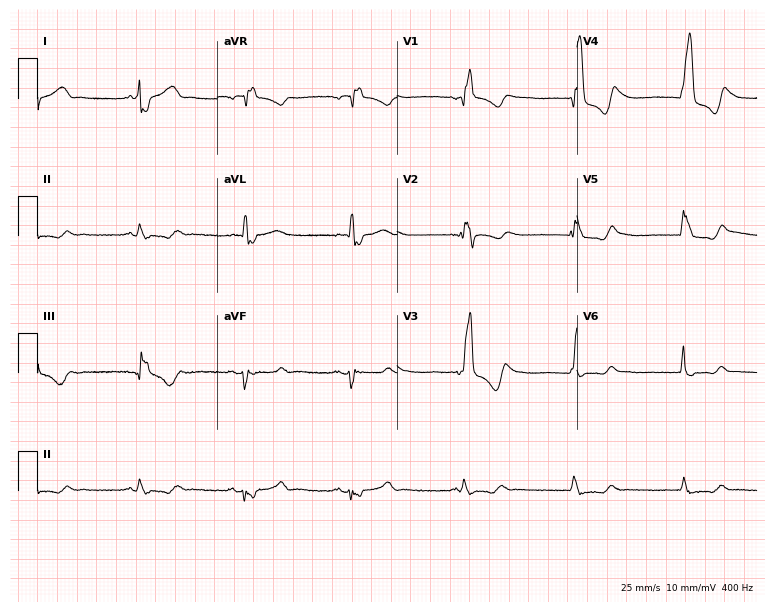
12-lead ECG from a woman, 32 years old (7.3-second recording at 400 Hz). Shows right bundle branch block.